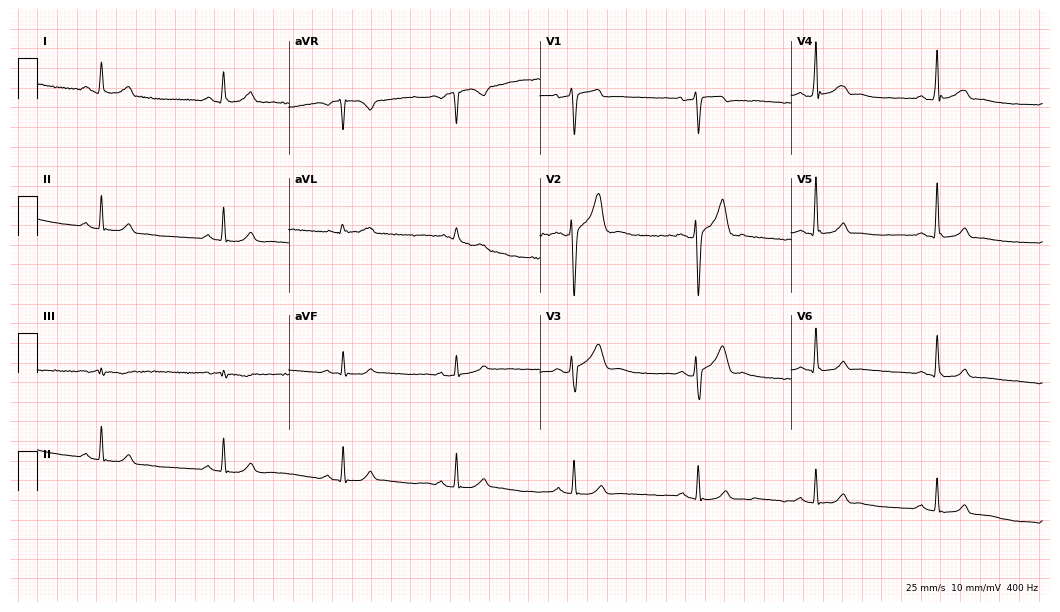
12-lead ECG from a male, 35 years old (10.2-second recording at 400 Hz). Recorded interpretation: within normal limits.